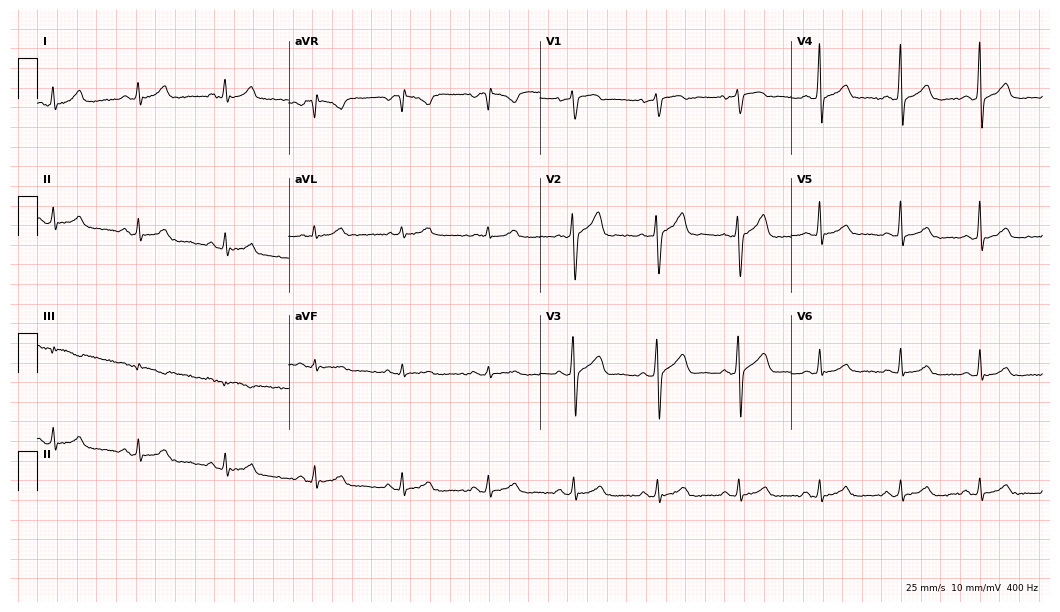
ECG (10.2-second recording at 400 Hz) — a male patient, 46 years old. Screened for six findings — first-degree AV block, right bundle branch block (RBBB), left bundle branch block (LBBB), sinus bradycardia, atrial fibrillation (AF), sinus tachycardia — none is recorded.